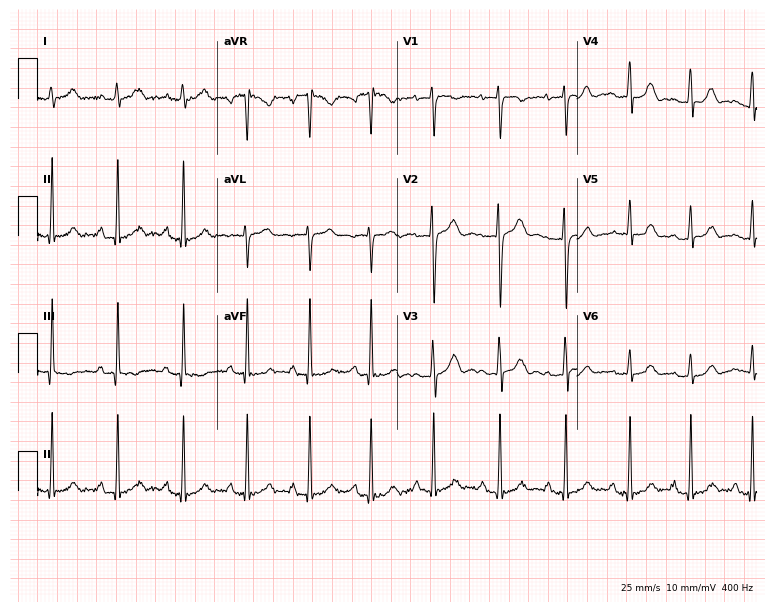
Electrocardiogram (7.3-second recording at 400 Hz), a woman, 25 years old. Overall reading on record: normal ECG.